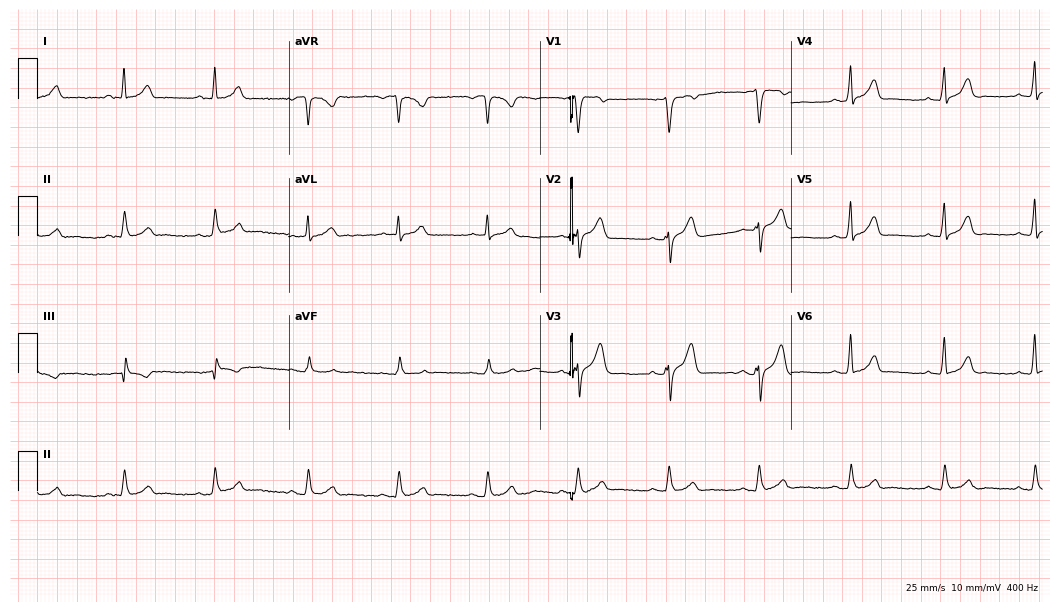
12-lead ECG from a 49-year-old male patient. Labelled as a normal ECG.